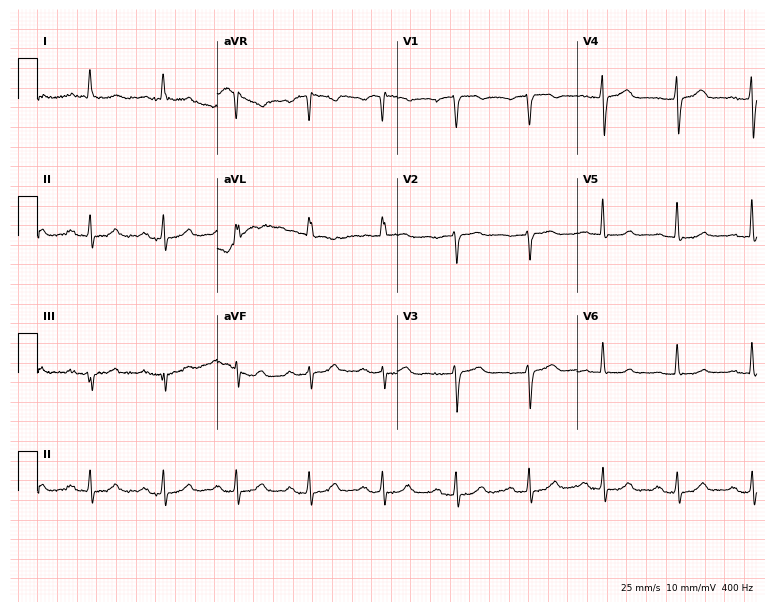
12-lead ECG from a man, 82 years old. No first-degree AV block, right bundle branch block, left bundle branch block, sinus bradycardia, atrial fibrillation or sinus tachycardia recorded for this tracing. Only these six findings were labelled.